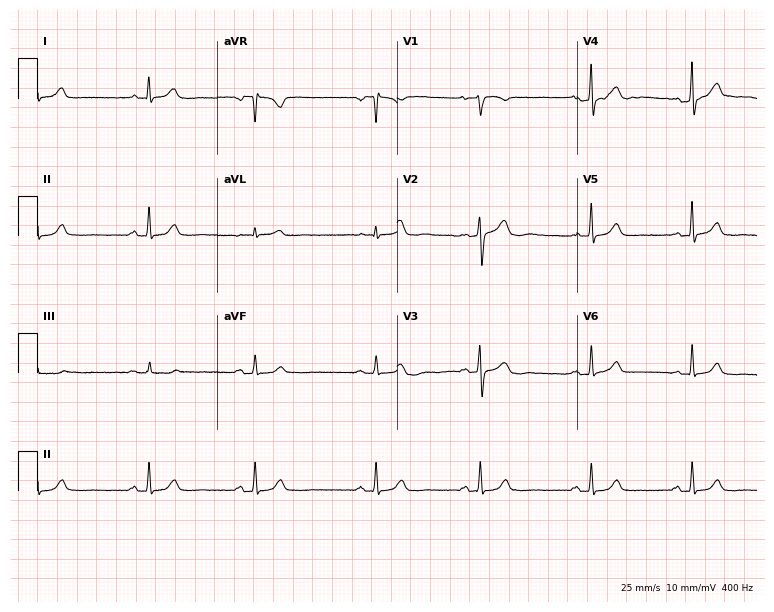
12-lead ECG from a 49-year-old female patient. Labelled as a normal ECG.